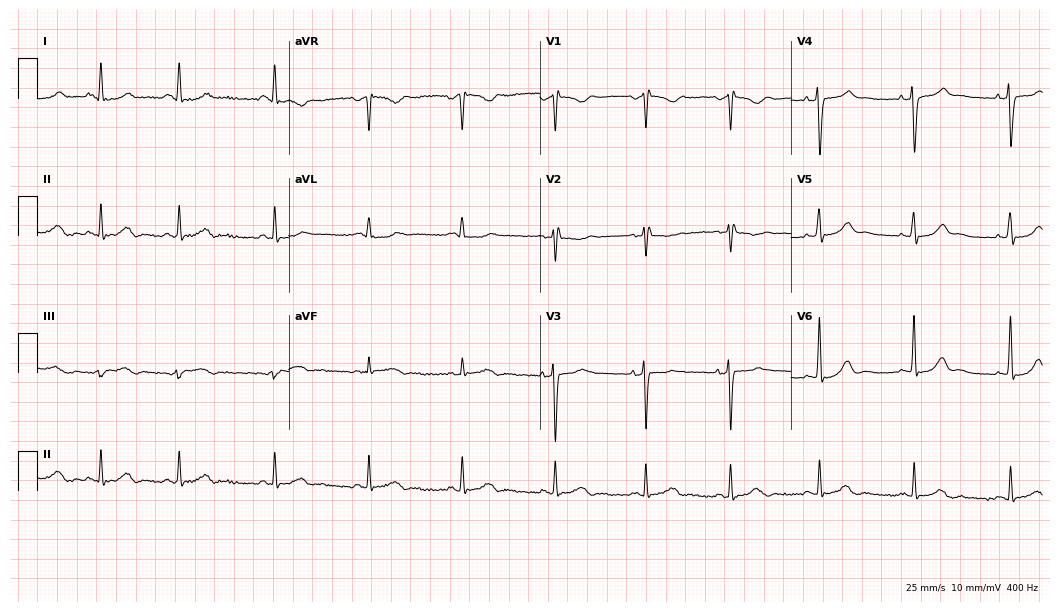
12-lead ECG from a 25-year-old woman. Screened for six findings — first-degree AV block, right bundle branch block, left bundle branch block, sinus bradycardia, atrial fibrillation, sinus tachycardia — none is recorded. Findings outside these six are not listed.